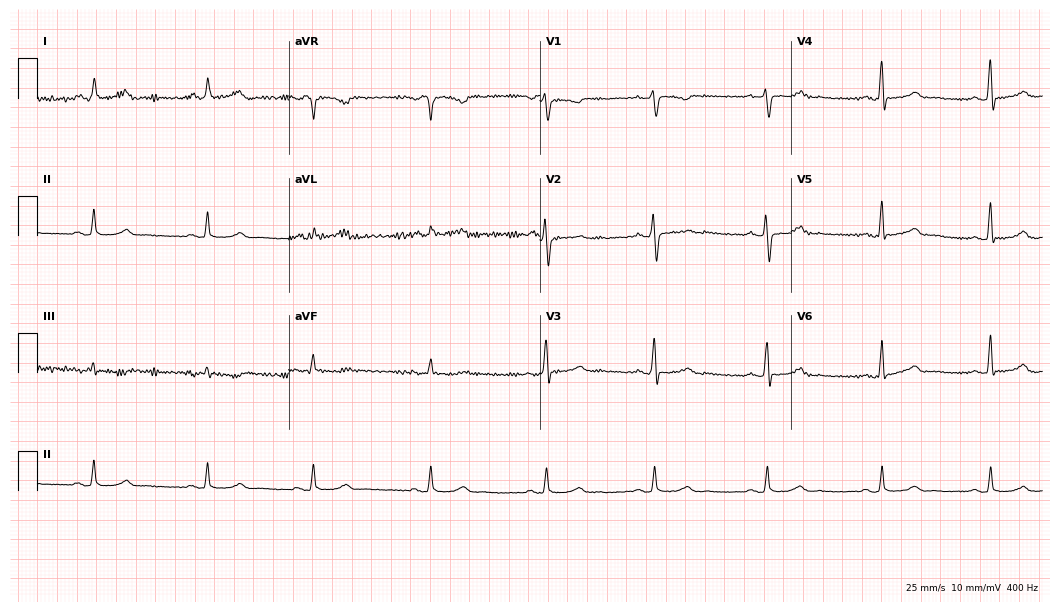
ECG — a female, 64 years old. Labelled as a normal ECG.